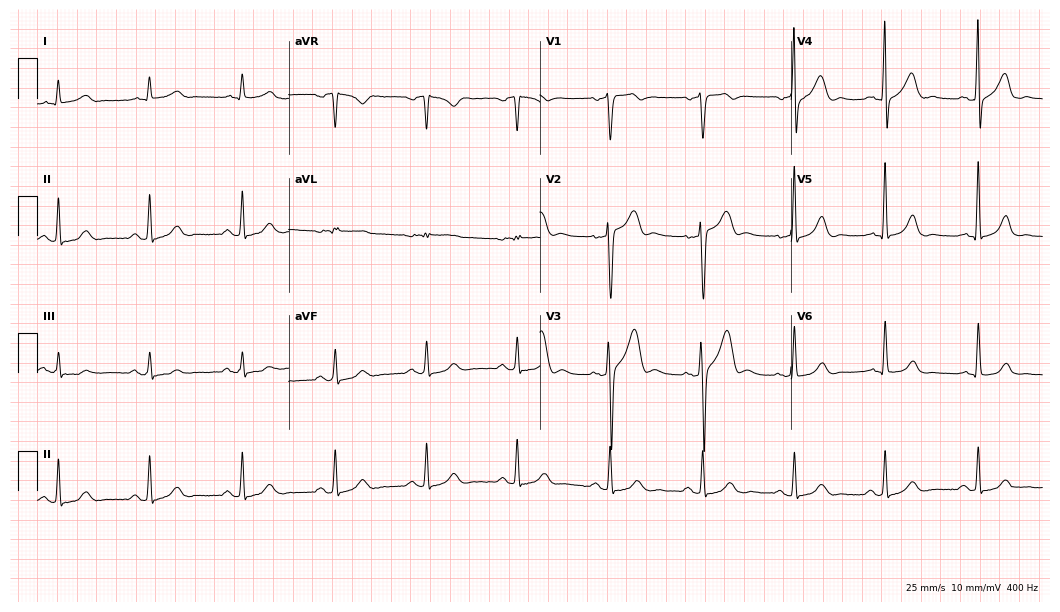
Electrocardiogram, a male, 56 years old. Overall reading on record: normal ECG.